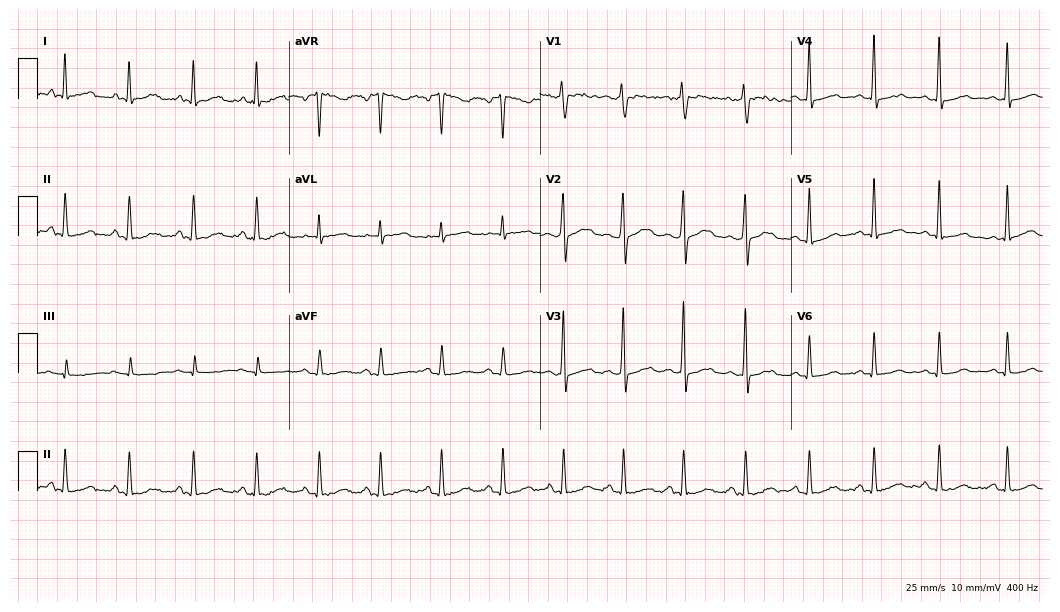
ECG (10.2-second recording at 400 Hz) — a female patient, 36 years old. Labelled as a normal ECG.